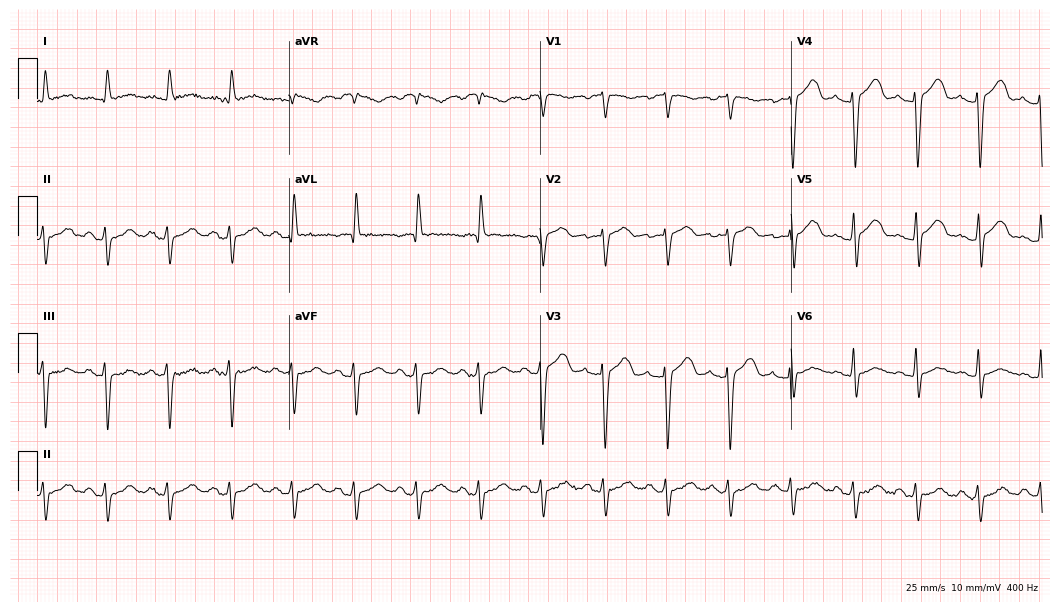
Electrocardiogram, a 64-year-old female patient. Of the six screened findings (first-degree AV block, right bundle branch block (RBBB), left bundle branch block (LBBB), sinus bradycardia, atrial fibrillation (AF), sinus tachycardia), none is recorded.